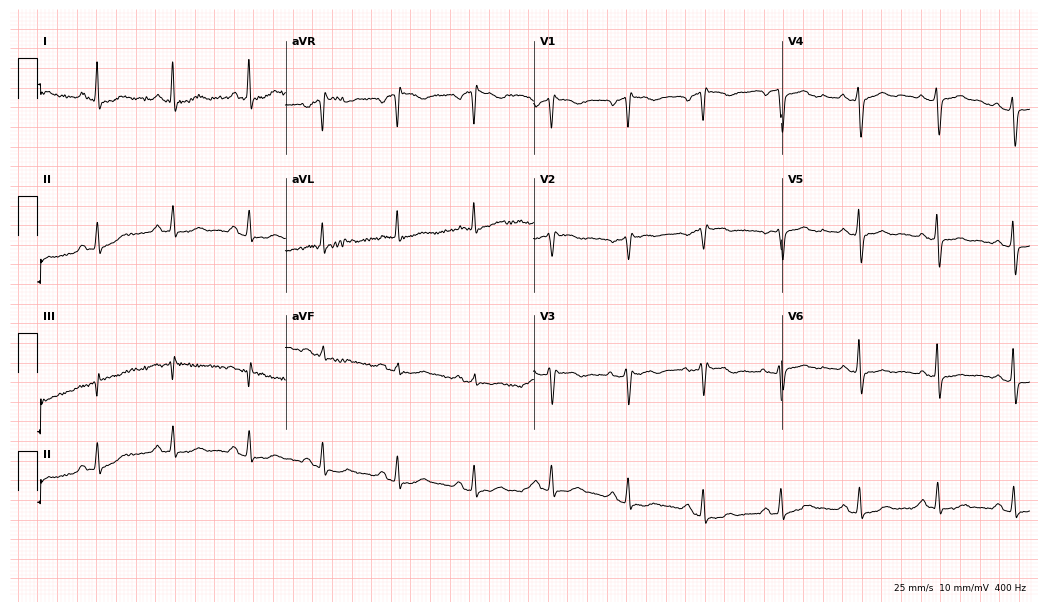
12-lead ECG from a woman, 66 years old (10.1-second recording at 400 Hz). No first-degree AV block, right bundle branch block, left bundle branch block, sinus bradycardia, atrial fibrillation or sinus tachycardia recorded for this tracing.